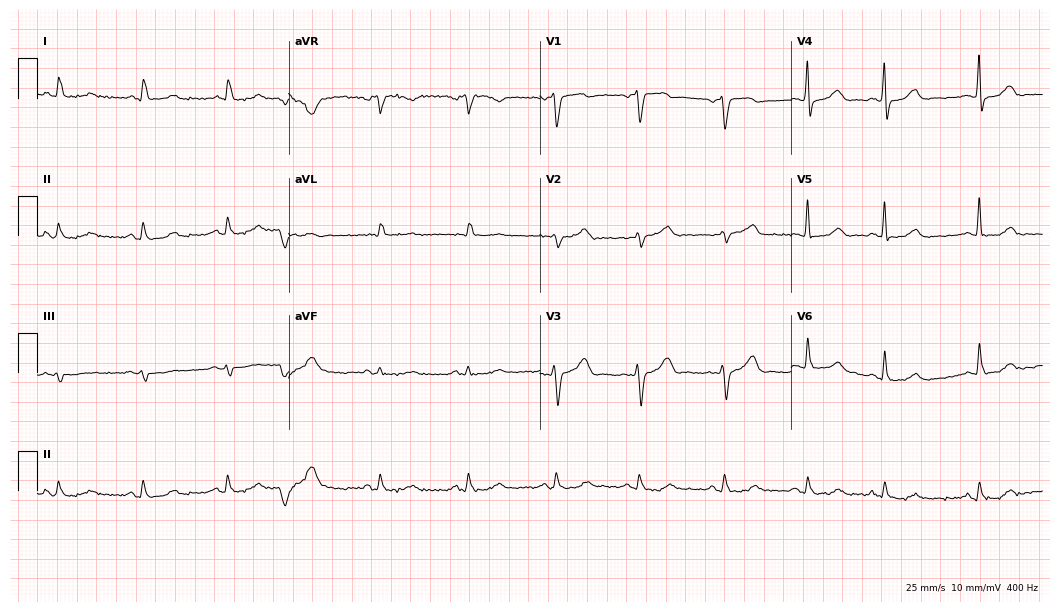
ECG (10.2-second recording at 400 Hz) — an 80-year-old male patient. Labelled as a normal ECG.